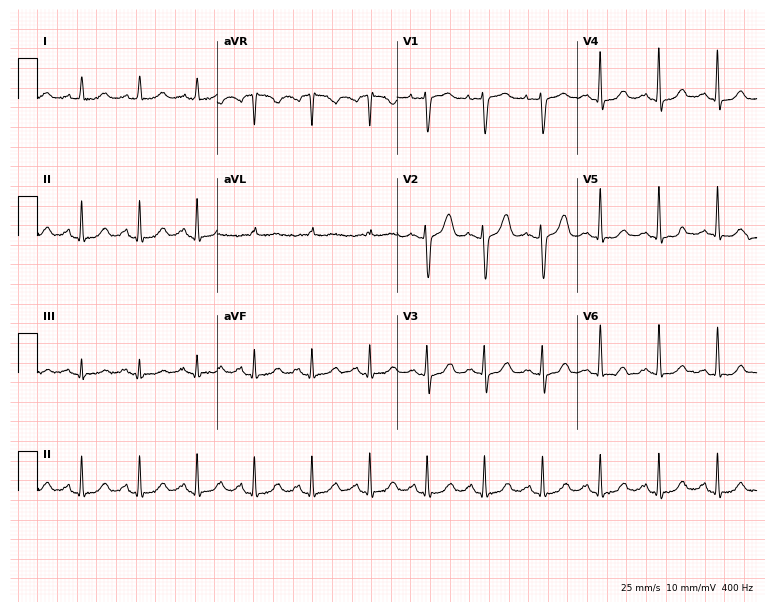
ECG — a 75-year-old woman. Findings include sinus tachycardia (a sinus rate of 100 beats per minute or more).